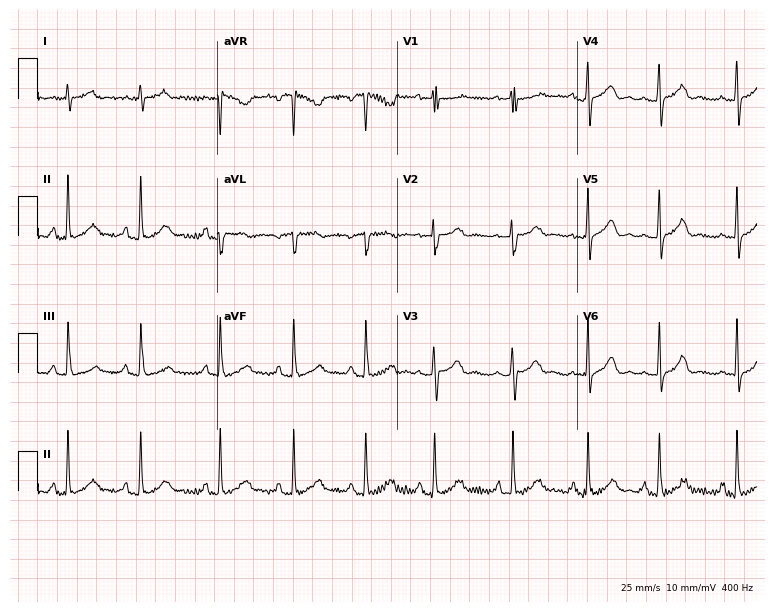
12-lead ECG from an 18-year-old female. Labelled as a normal ECG.